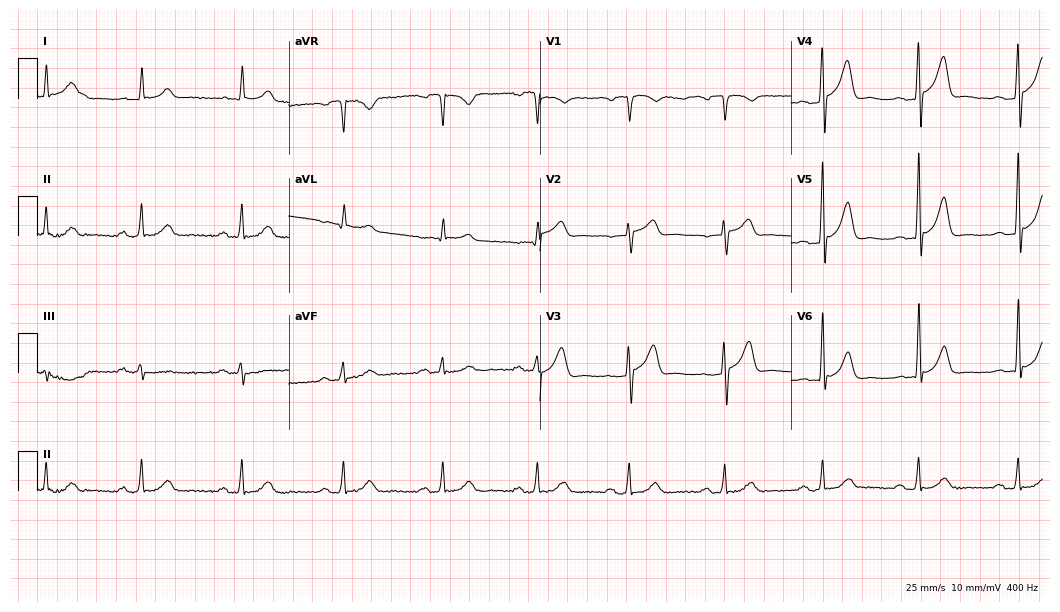
Standard 12-lead ECG recorded from a 75-year-old male. None of these six findings is recorded: first-degree AV block, right bundle branch block (RBBB), left bundle branch block (LBBB), sinus bradycardia, atrial fibrillation (AF), sinus tachycardia.